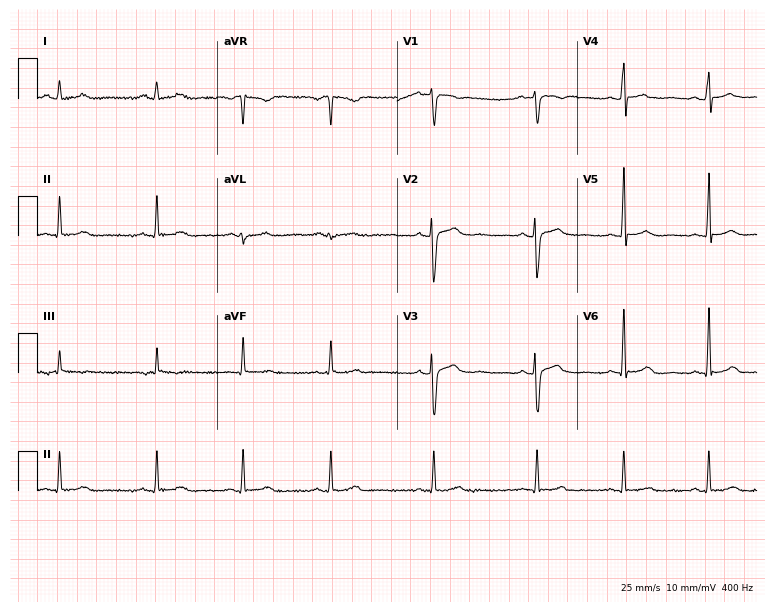
Resting 12-lead electrocardiogram (7.3-second recording at 400 Hz). Patient: a woman, 22 years old. Read as a normal ECG.